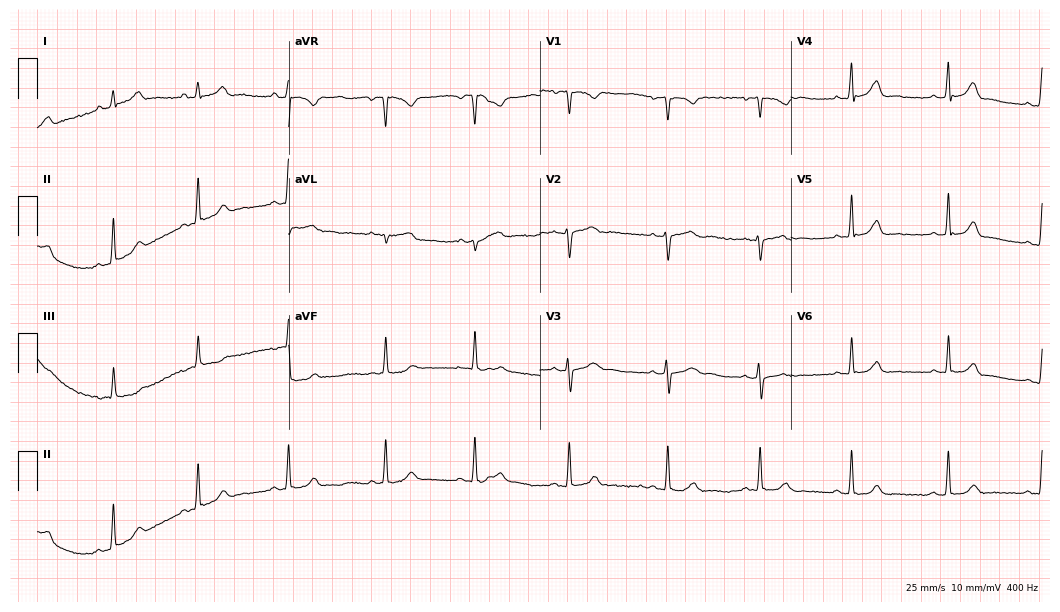
ECG (10.2-second recording at 400 Hz) — a 21-year-old female patient. Labelled as a normal ECG.